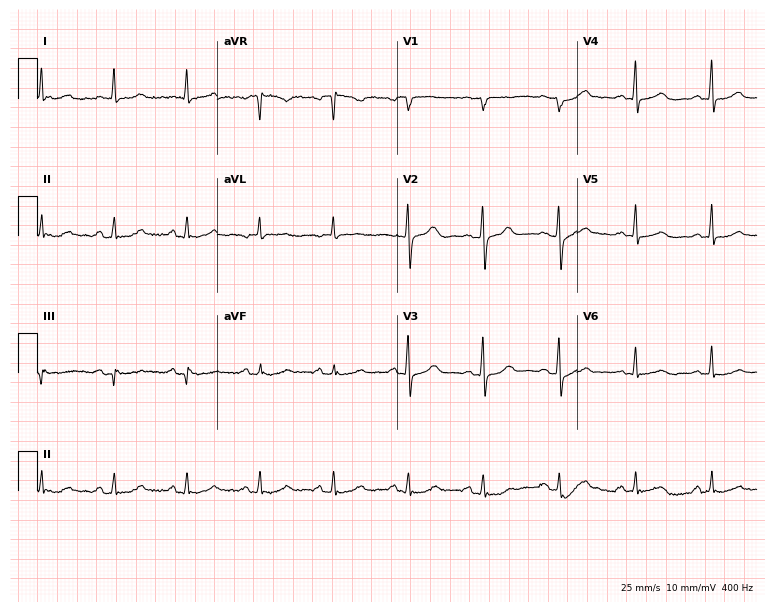
12-lead ECG from a woman, 79 years old (7.3-second recording at 400 Hz). No first-degree AV block, right bundle branch block, left bundle branch block, sinus bradycardia, atrial fibrillation or sinus tachycardia recorded for this tracing.